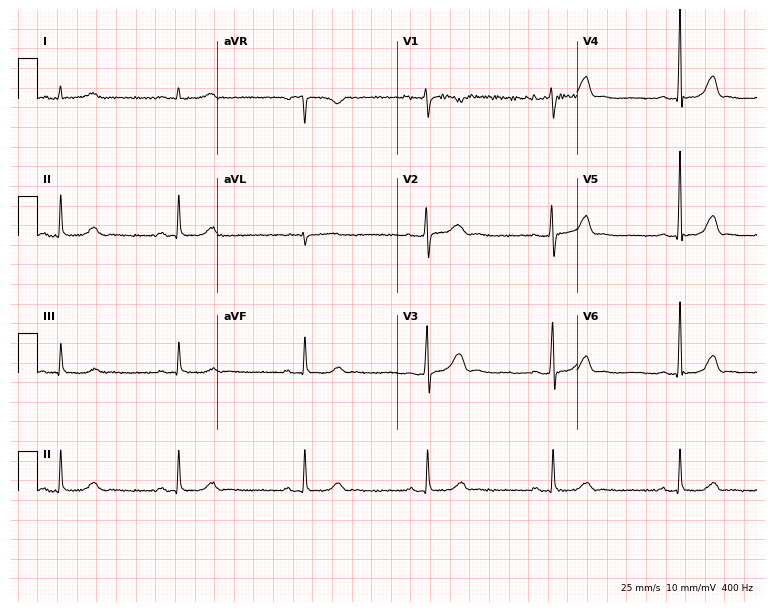
12-lead ECG from a woman, 49 years old (7.3-second recording at 400 Hz). Shows sinus bradycardia (a sinus rate of 50 beats per minute or less).